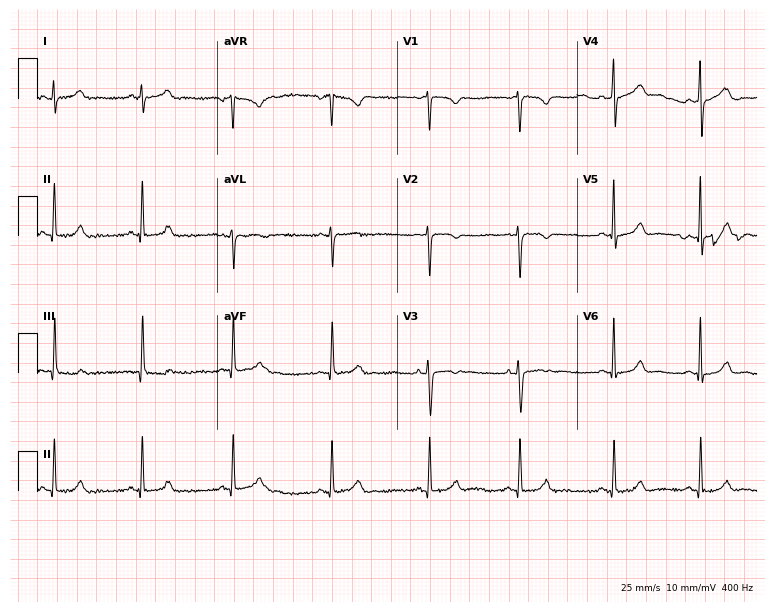
ECG (7.3-second recording at 400 Hz) — a 41-year-old female patient. Labelled as a normal ECG.